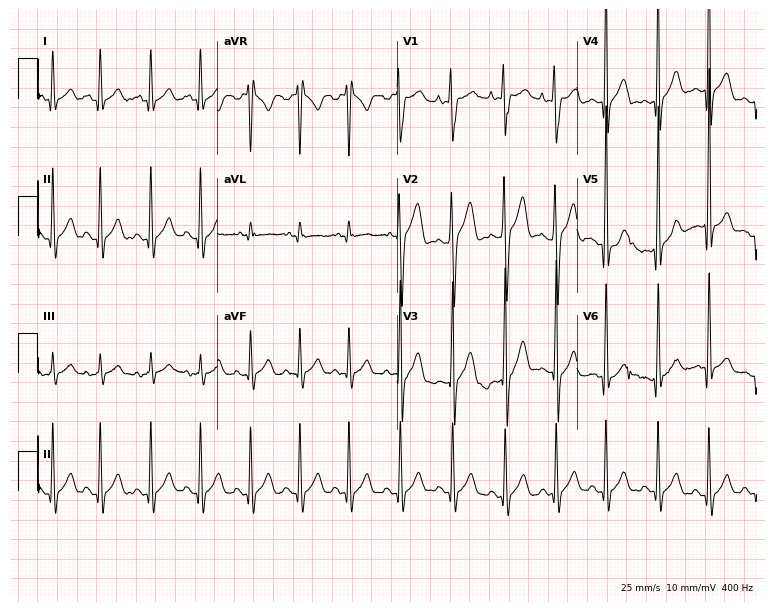
Resting 12-lead electrocardiogram (7.3-second recording at 400 Hz). Patient: a 23-year-old male. The tracing shows sinus tachycardia (a sinus rate of 100 beats per minute or more).